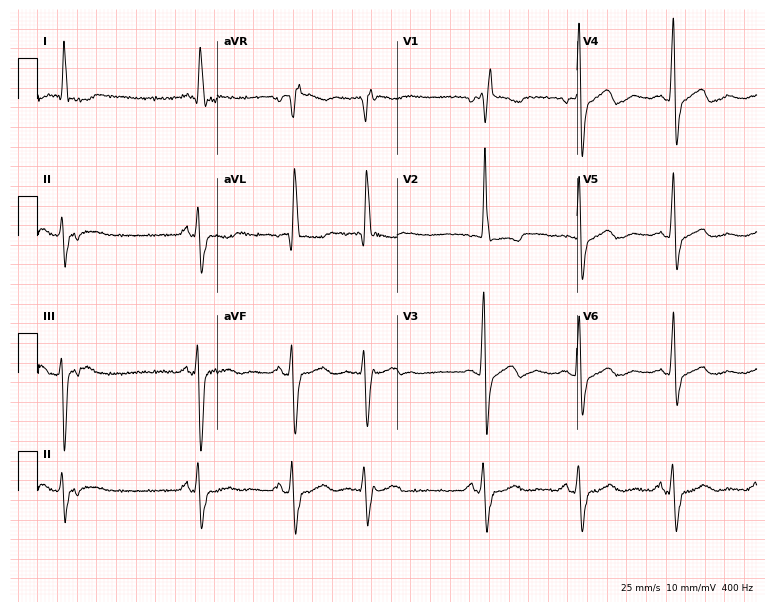
12-lead ECG from a female, 83 years old (7.3-second recording at 400 Hz). Shows right bundle branch block.